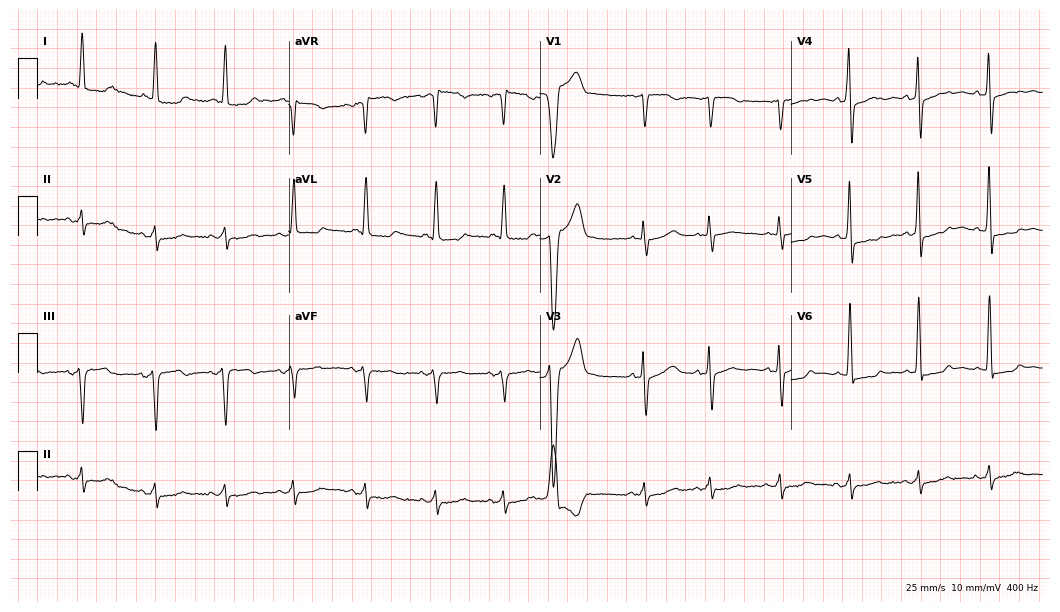
12-lead ECG from a 73-year-old female patient. No first-degree AV block, right bundle branch block, left bundle branch block, sinus bradycardia, atrial fibrillation or sinus tachycardia recorded for this tracing.